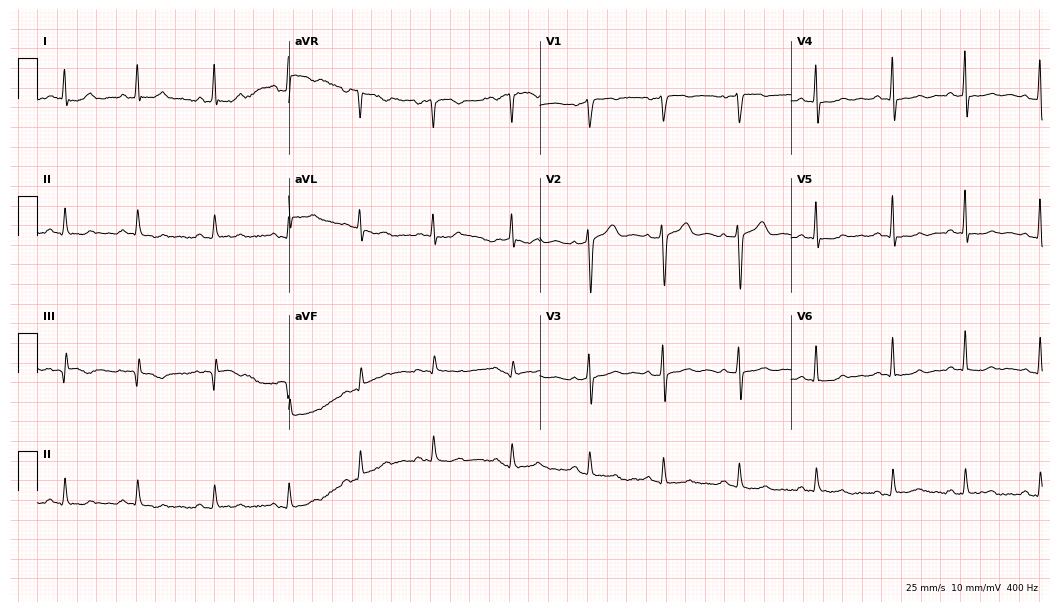
Electrocardiogram, a 50-year-old male patient. Of the six screened findings (first-degree AV block, right bundle branch block, left bundle branch block, sinus bradycardia, atrial fibrillation, sinus tachycardia), none is recorded. Only these six findings were labelled.